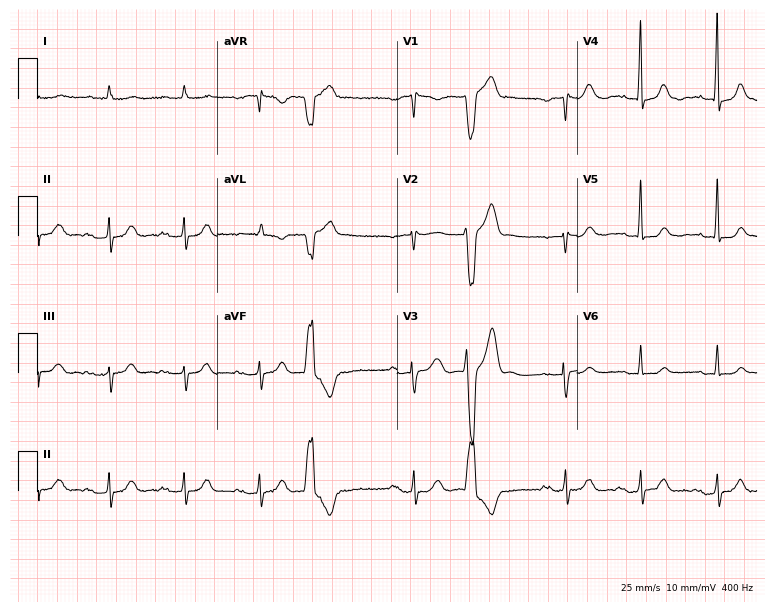
12-lead ECG (7.3-second recording at 400 Hz) from a male, 81 years old. Screened for six findings — first-degree AV block, right bundle branch block, left bundle branch block, sinus bradycardia, atrial fibrillation, sinus tachycardia — none is recorded. Other findings, if any, are not listed.